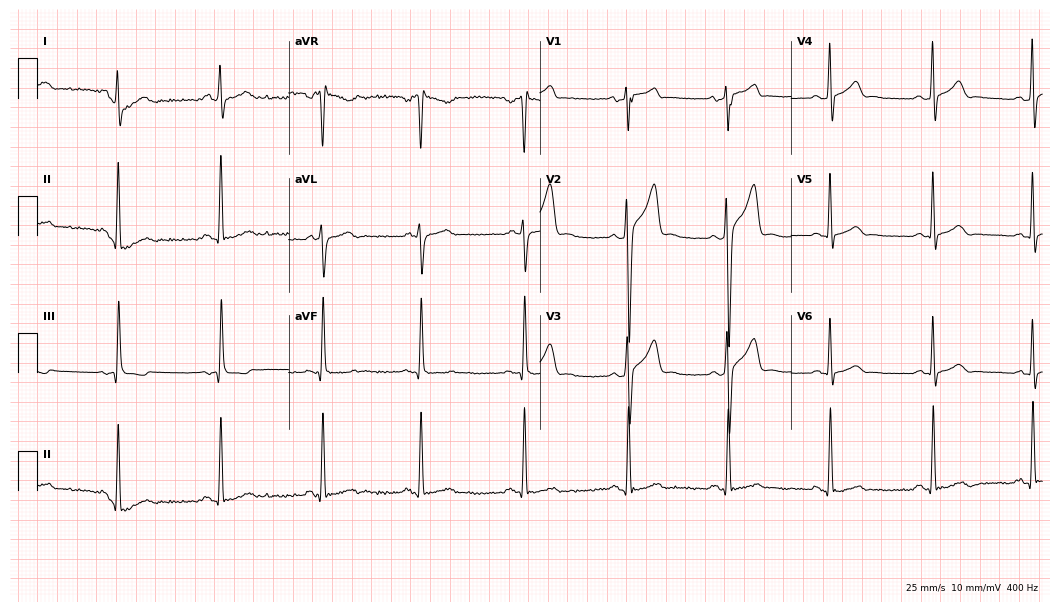
12-lead ECG from a man, 24 years old. No first-degree AV block, right bundle branch block (RBBB), left bundle branch block (LBBB), sinus bradycardia, atrial fibrillation (AF) or sinus tachycardia recorded for this tracing. Findings outside these six are not listed.